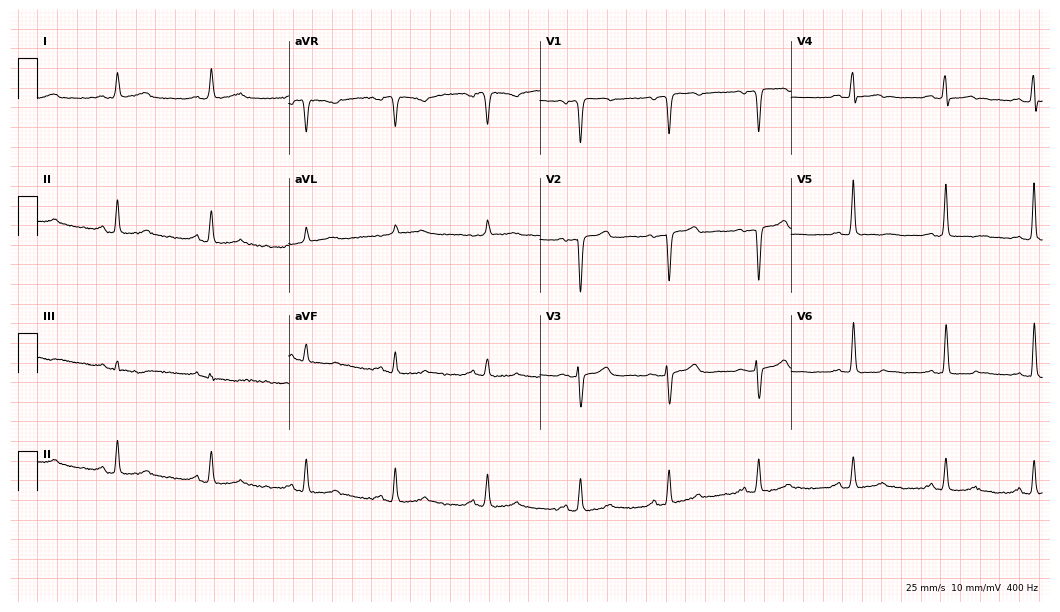
12-lead ECG (10.2-second recording at 400 Hz) from a 62-year-old female. Screened for six findings — first-degree AV block, right bundle branch block, left bundle branch block, sinus bradycardia, atrial fibrillation, sinus tachycardia — none is recorded.